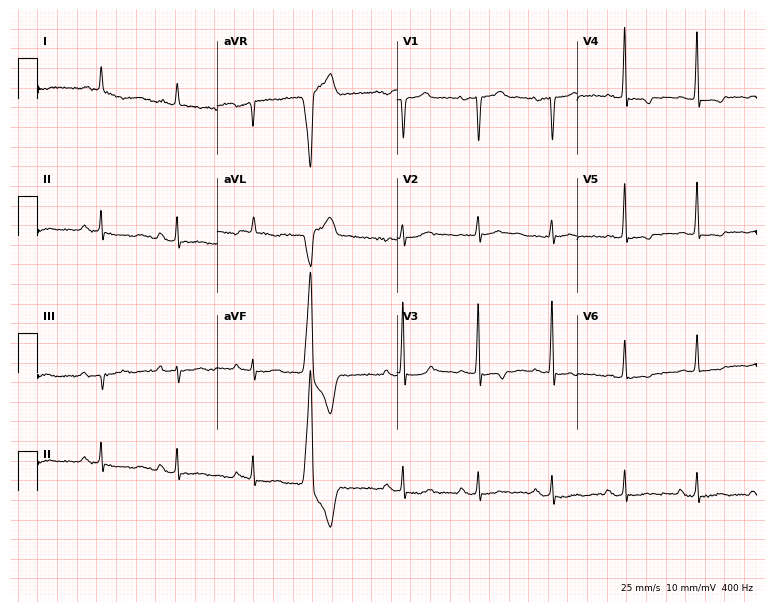
12-lead ECG (7.3-second recording at 400 Hz) from an 82-year-old male patient. Screened for six findings — first-degree AV block, right bundle branch block (RBBB), left bundle branch block (LBBB), sinus bradycardia, atrial fibrillation (AF), sinus tachycardia — none is recorded.